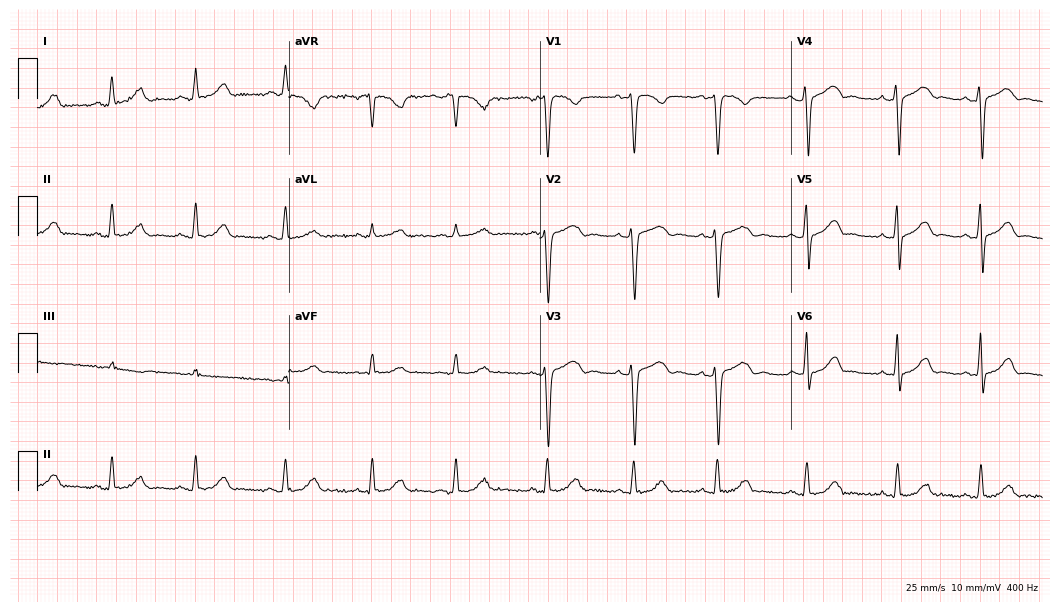
12-lead ECG from a female patient, 25 years old. Recorded interpretation: within normal limits.